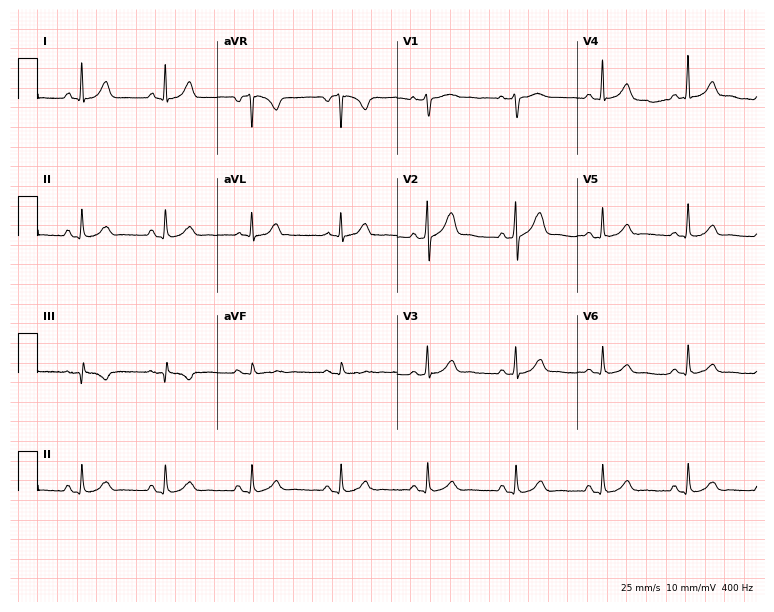
Resting 12-lead electrocardiogram. Patient: a 57-year-old male. None of these six findings is recorded: first-degree AV block, right bundle branch block, left bundle branch block, sinus bradycardia, atrial fibrillation, sinus tachycardia. Findings outside these six are not listed.